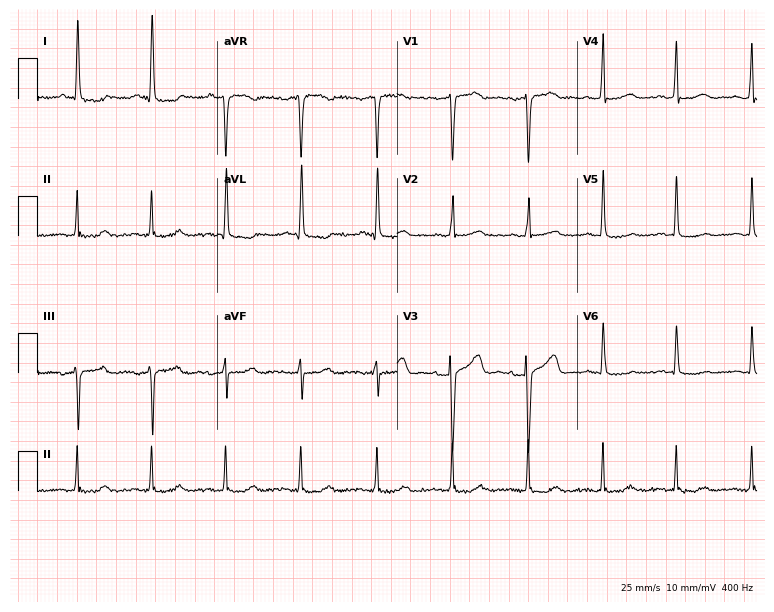
12-lead ECG from a 69-year-old female (7.3-second recording at 400 Hz). No first-degree AV block, right bundle branch block, left bundle branch block, sinus bradycardia, atrial fibrillation or sinus tachycardia recorded for this tracing. Findings outside these six are not listed.